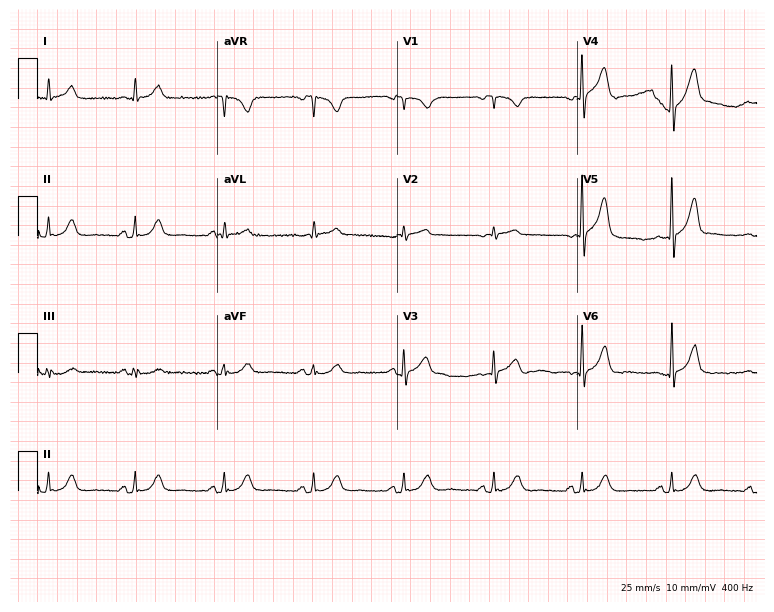
12-lead ECG (7.3-second recording at 400 Hz) from a man, 75 years old. Labelled as a normal ECG.